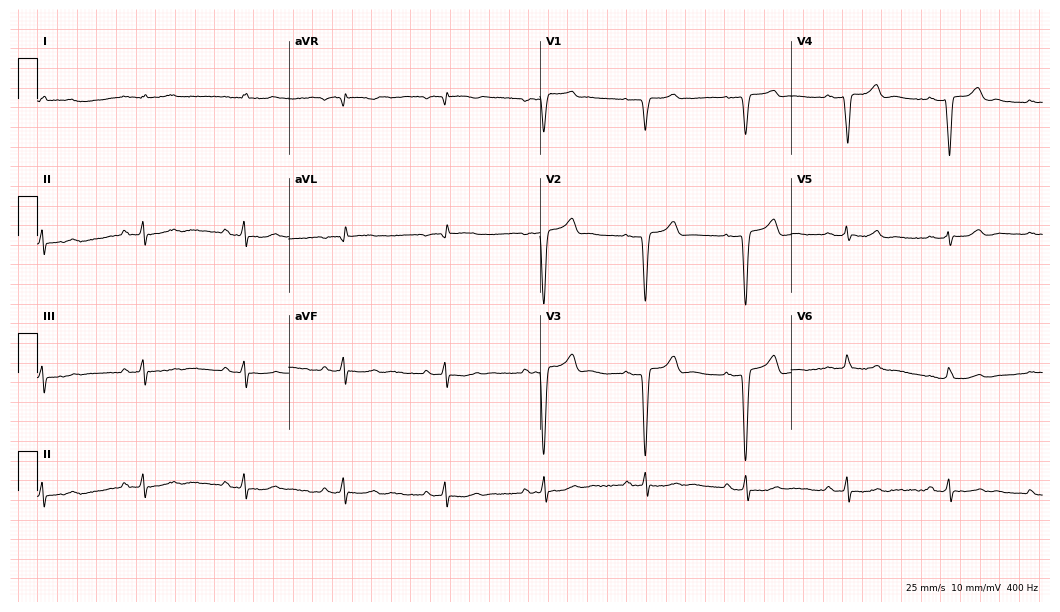
Electrocardiogram (10.2-second recording at 400 Hz), a 71-year-old male. Of the six screened findings (first-degree AV block, right bundle branch block (RBBB), left bundle branch block (LBBB), sinus bradycardia, atrial fibrillation (AF), sinus tachycardia), none is recorded.